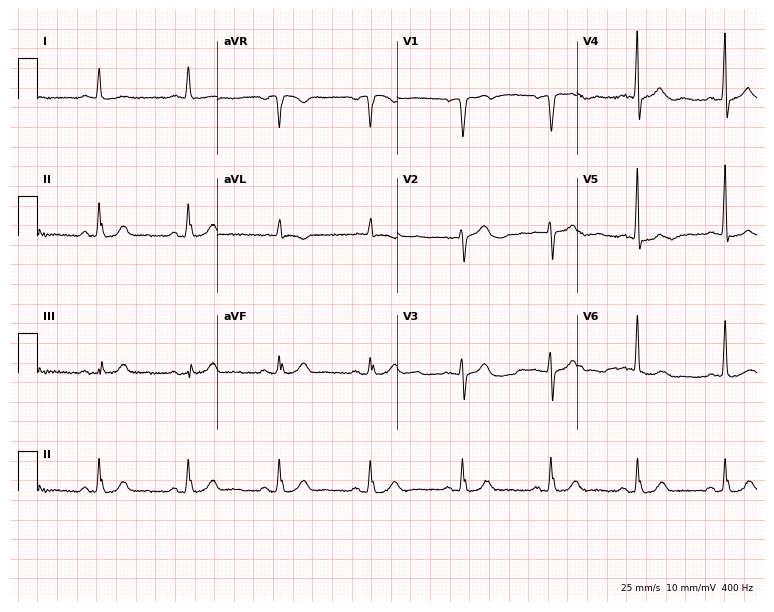
12-lead ECG from a man, 83 years old. Labelled as a normal ECG.